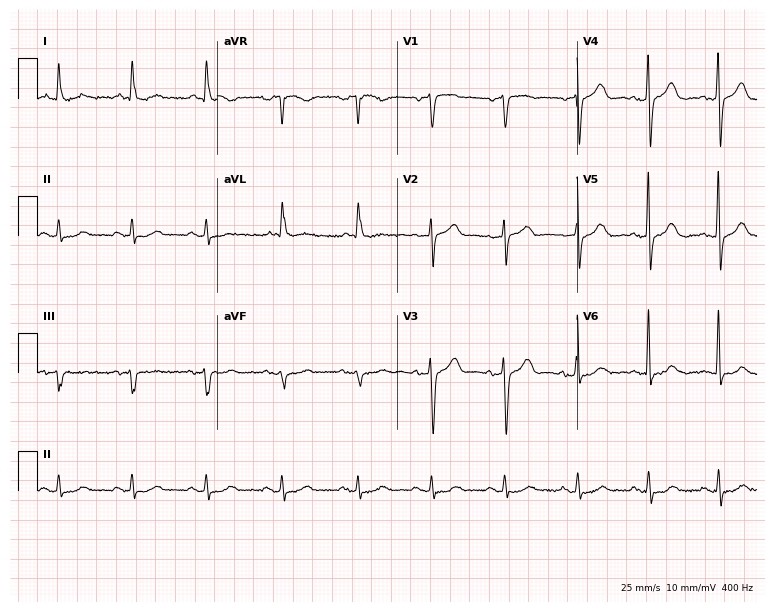
Electrocardiogram (7.3-second recording at 400 Hz), a 70-year-old male patient. Of the six screened findings (first-degree AV block, right bundle branch block, left bundle branch block, sinus bradycardia, atrial fibrillation, sinus tachycardia), none is recorded. Findings outside these six are not listed.